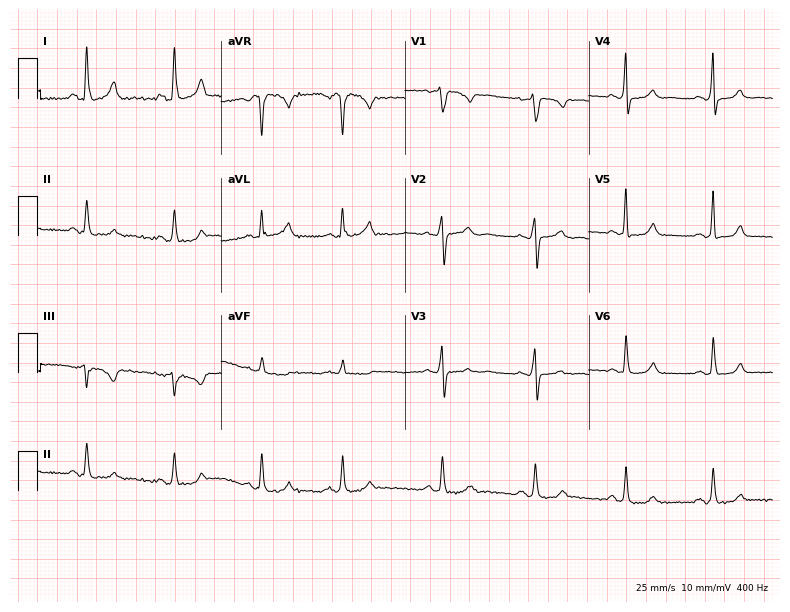
12-lead ECG from a 26-year-old female (7.5-second recording at 400 Hz). No first-degree AV block, right bundle branch block (RBBB), left bundle branch block (LBBB), sinus bradycardia, atrial fibrillation (AF) or sinus tachycardia recorded for this tracing.